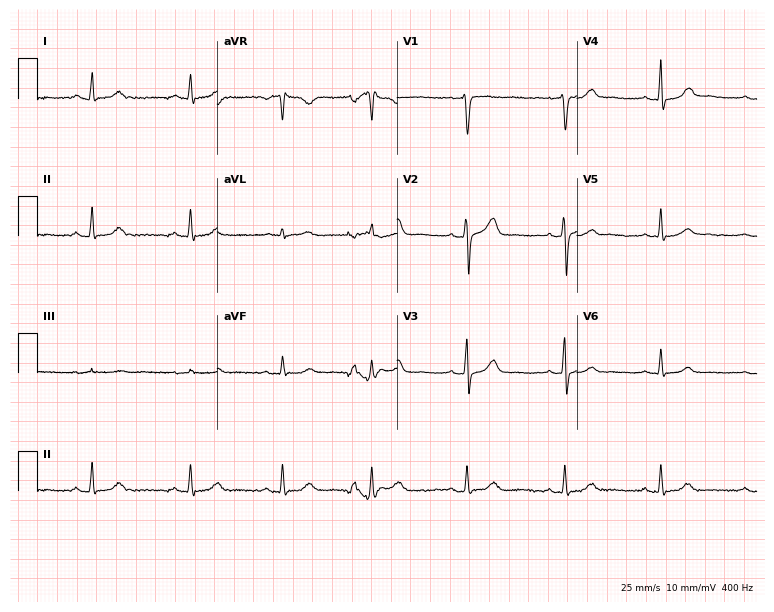
12-lead ECG from a 51-year-old man. Labelled as a normal ECG.